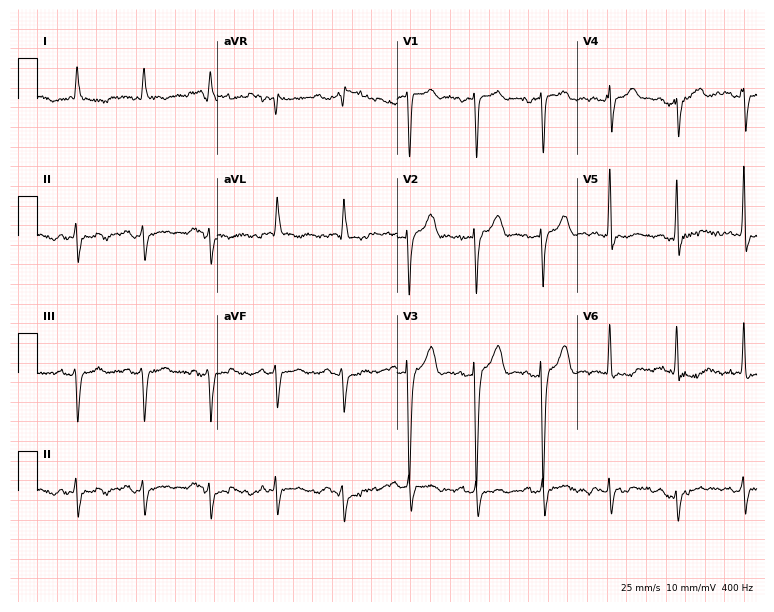
ECG (7.3-second recording at 400 Hz) — a 79-year-old male. Screened for six findings — first-degree AV block, right bundle branch block, left bundle branch block, sinus bradycardia, atrial fibrillation, sinus tachycardia — none is recorded.